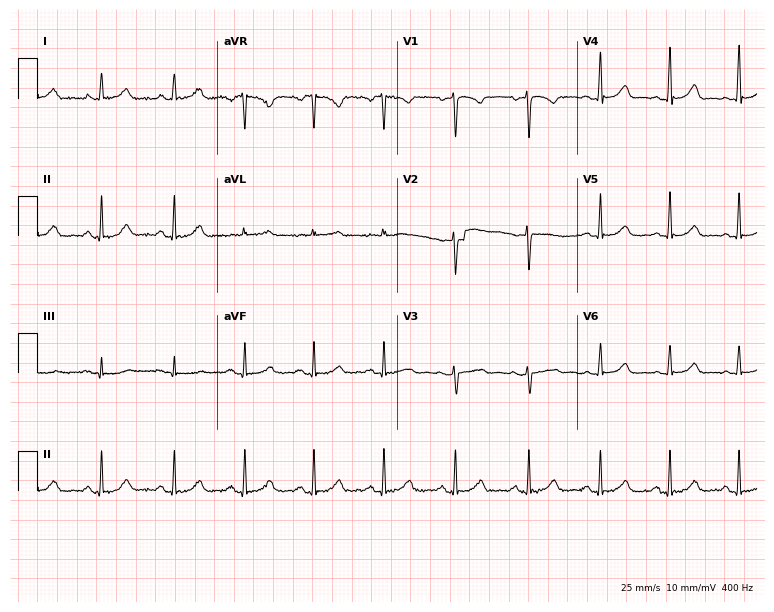
12-lead ECG from a 47-year-old female patient. Screened for six findings — first-degree AV block, right bundle branch block, left bundle branch block, sinus bradycardia, atrial fibrillation, sinus tachycardia — none is recorded. Findings outside these six are not listed.